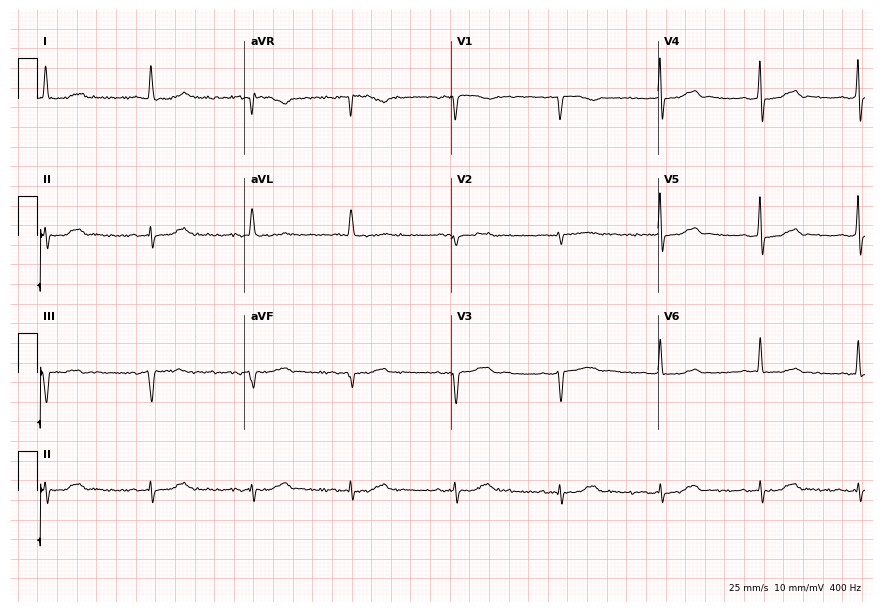
12-lead ECG from an 82-year-old woman. Findings include atrial fibrillation.